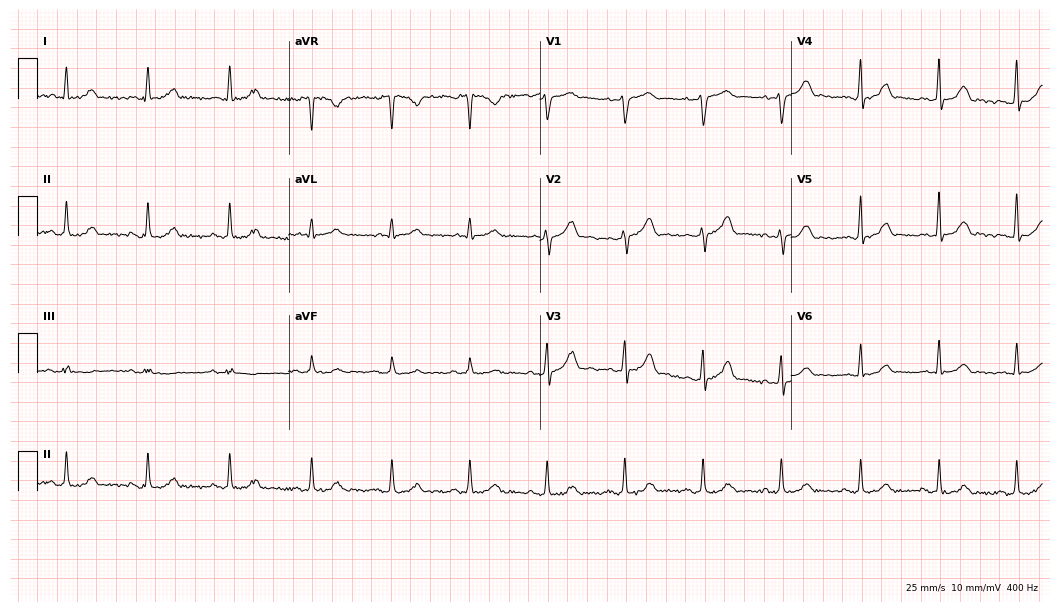
Resting 12-lead electrocardiogram. Patient: a 47-year-old female. None of these six findings is recorded: first-degree AV block, right bundle branch block (RBBB), left bundle branch block (LBBB), sinus bradycardia, atrial fibrillation (AF), sinus tachycardia. Findings outside these six are not listed.